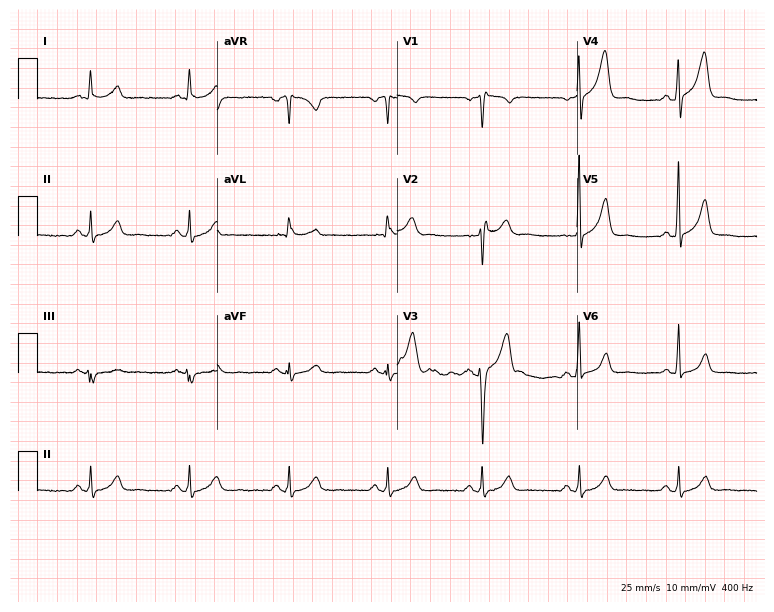
Standard 12-lead ECG recorded from a man, 45 years old. None of these six findings is recorded: first-degree AV block, right bundle branch block (RBBB), left bundle branch block (LBBB), sinus bradycardia, atrial fibrillation (AF), sinus tachycardia. Other findings, if any, are not listed.